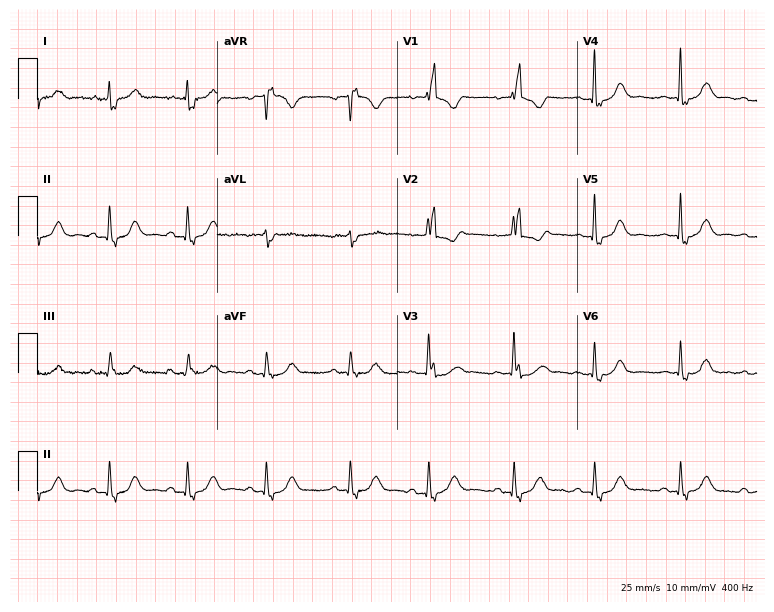
Electrocardiogram (7.3-second recording at 400 Hz), a female patient, 87 years old. Interpretation includes right bundle branch block (RBBB).